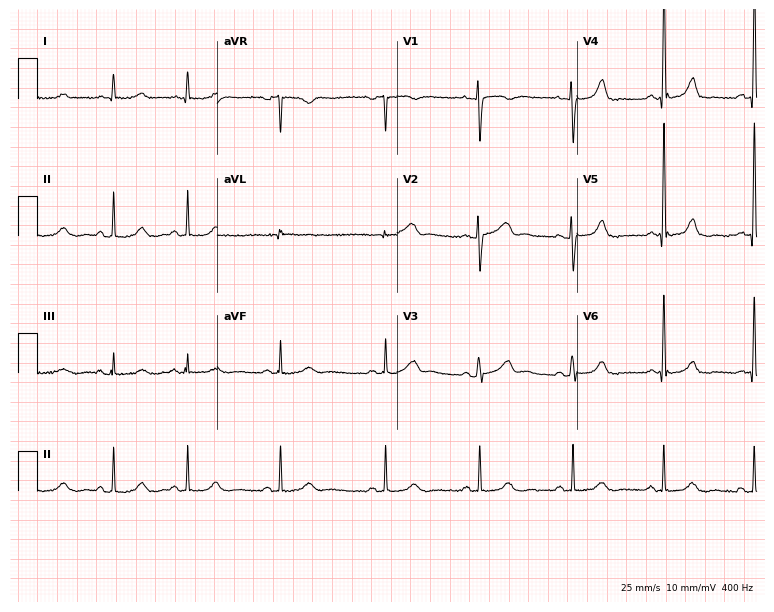
Electrocardiogram (7.3-second recording at 400 Hz), a female patient, 54 years old. Of the six screened findings (first-degree AV block, right bundle branch block (RBBB), left bundle branch block (LBBB), sinus bradycardia, atrial fibrillation (AF), sinus tachycardia), none is recorded.